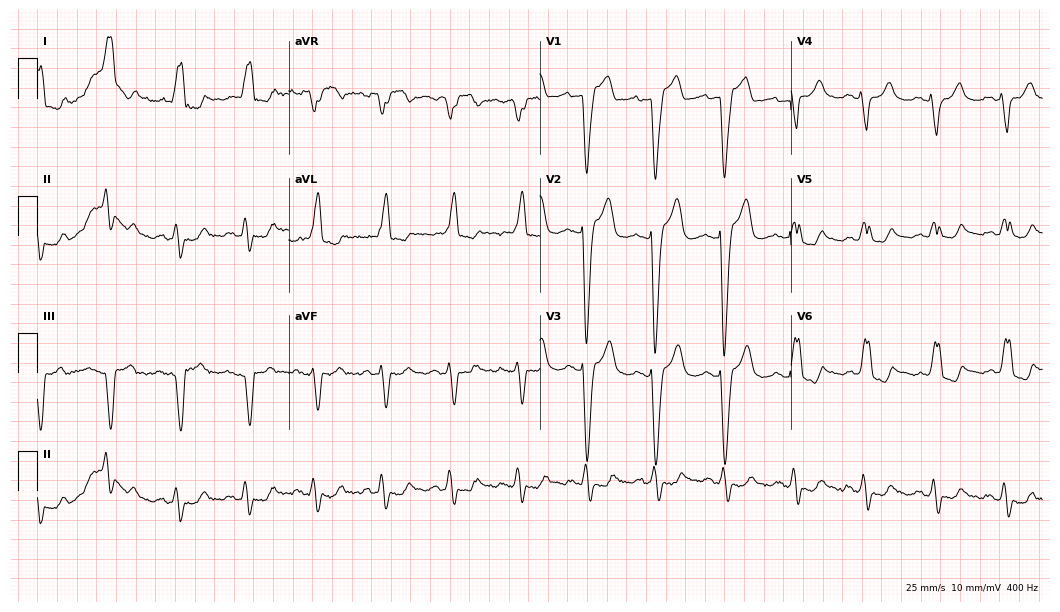
Electrocardiogram (10.2-second recording at 400 Hz), a 76-year-old female. Interpretation includes left bundle branch block.